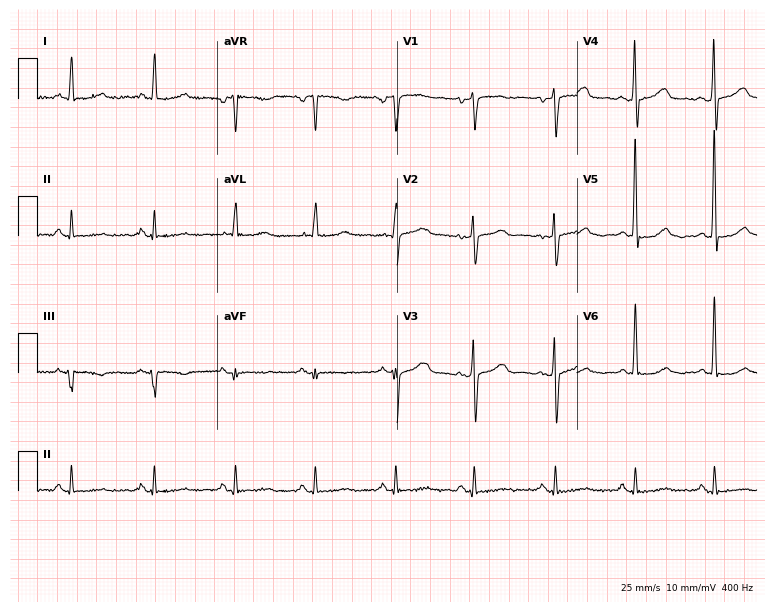
Resting 12-lead electrocardiogram. Patient: a 69-year-old woman. Read as a normal ECG.